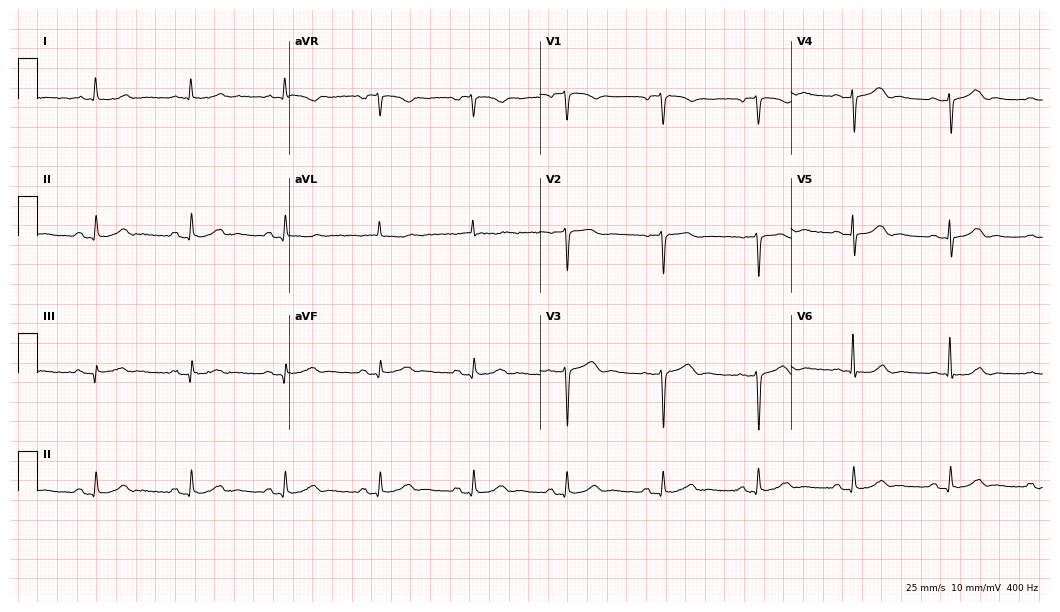
12-lead ECG from a 75-year-old male. Labelled as a normal ECG.